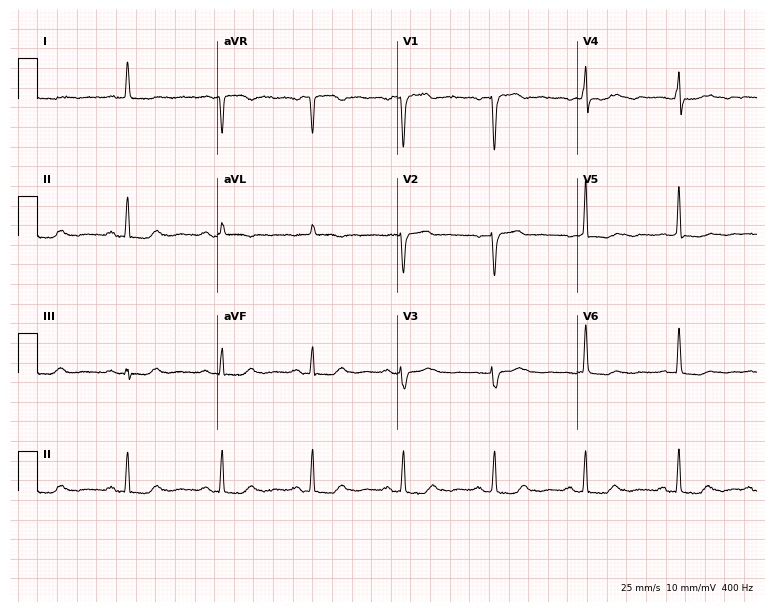
Resting 12-lead electrocardiogram (7.3-second recording at 400 Hz). Patient: a 55-year-old female. None of these six findings is recorded: first-degree AV block, right bundle branch block (RBBB), left bundle branch block (LBBB), sinus bradycardia, atrial fibrillation (AF), sinus tachycardia. Other findings, if any, are not listed.